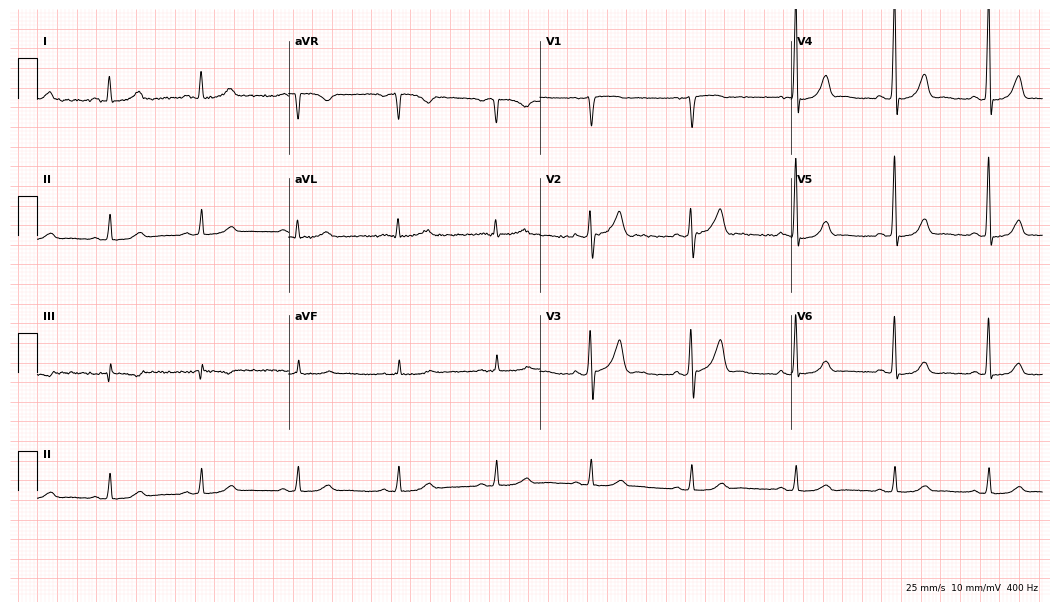
Resting 12-lead electrocardiogram (10.2-second recording at 400 Hz). Patient: a female, 54 years old. None of these six findings is recorded: first-degree AV block, right bundle branch block, left bundle branch block, sinus bradycardia, atrial fibrillation, sinus tachycardia.